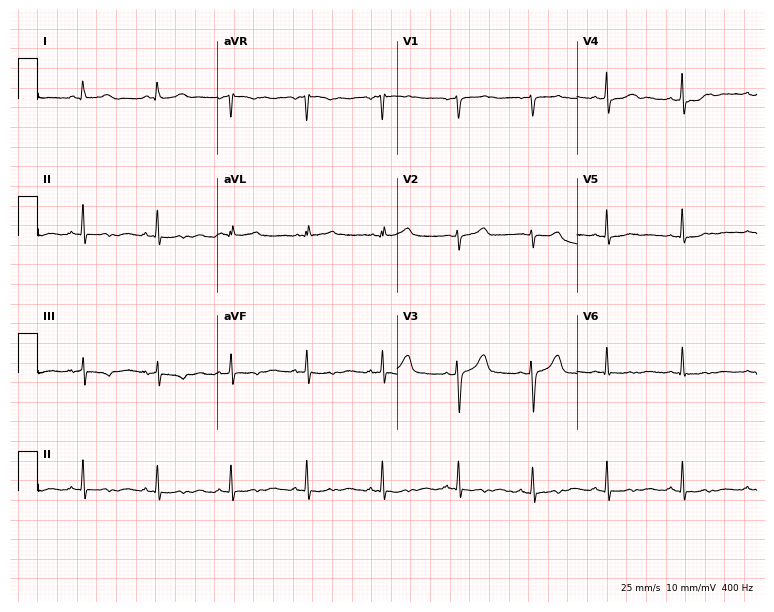
12-lead ECG from a female, 53 years old. Labelled as a normal ECG.